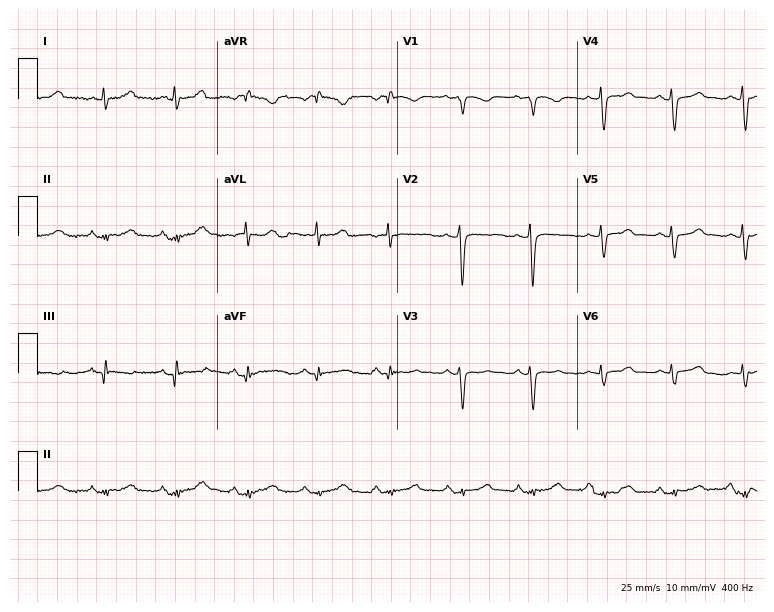
12-lead ECG from a woman, 71 years old (7.3-second recording at 400 Hz). No first-degree AV block, right bundle branch block, left bundle branch block, sinus bradycardia, atrial fibrillation or sinus tachycardia recorded for this tracing.